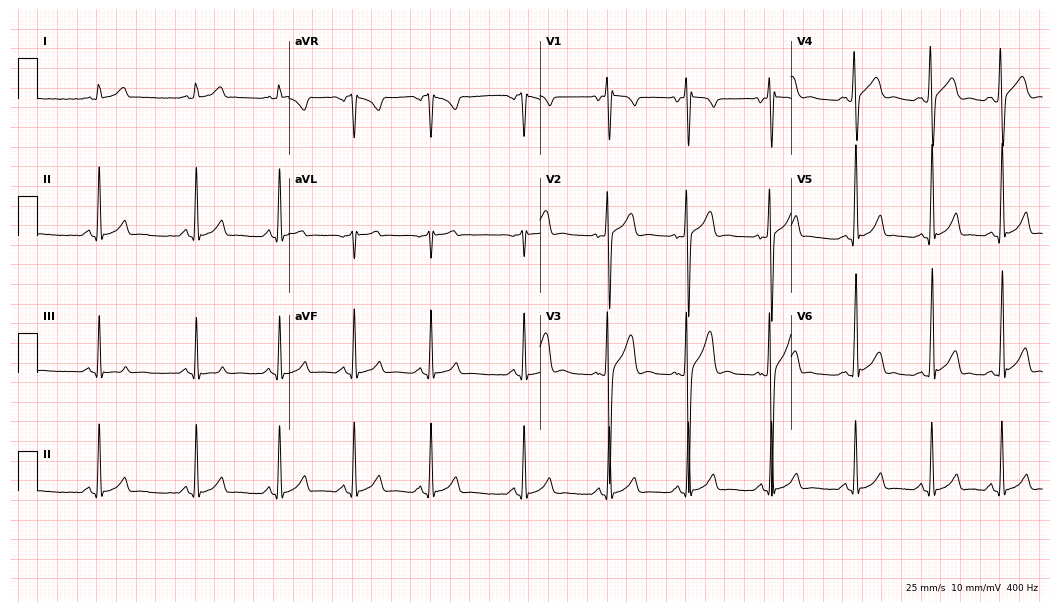
12-lead ECG from a male, 17 years old (10.2-second recording at 400 Hz). No first-degree AV block, right bundle branch block, left bundle branch block, sinus bradycardia, atrial fibrillation or sinus tachycardia recorded for this tracing. Findings outside these six are not listed.